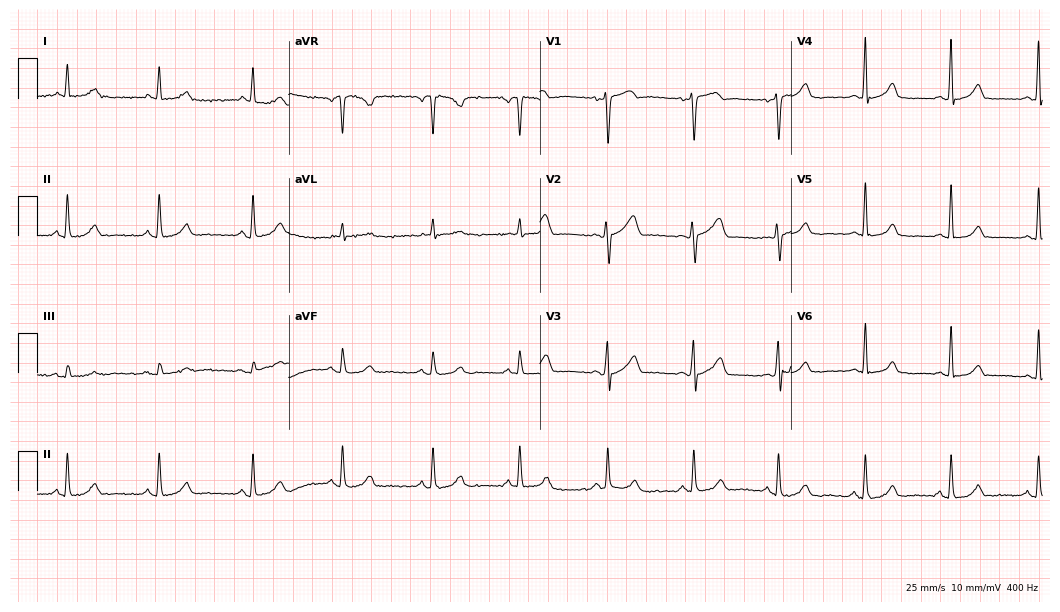
Standard 12-lead ECG recorded from a female, 63 years old (10.2-second recording at 400 Hz). Read as a normal ECG.